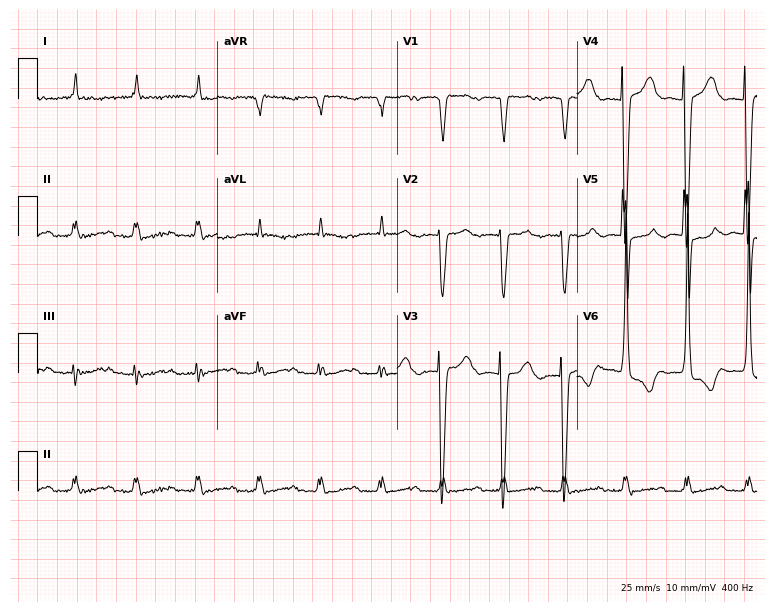
Resting 12-lead electrocardiogram (7.3-second recording at 400 Hz). Patient: a male, 81 years old. The tracing shows first-degree AV block.